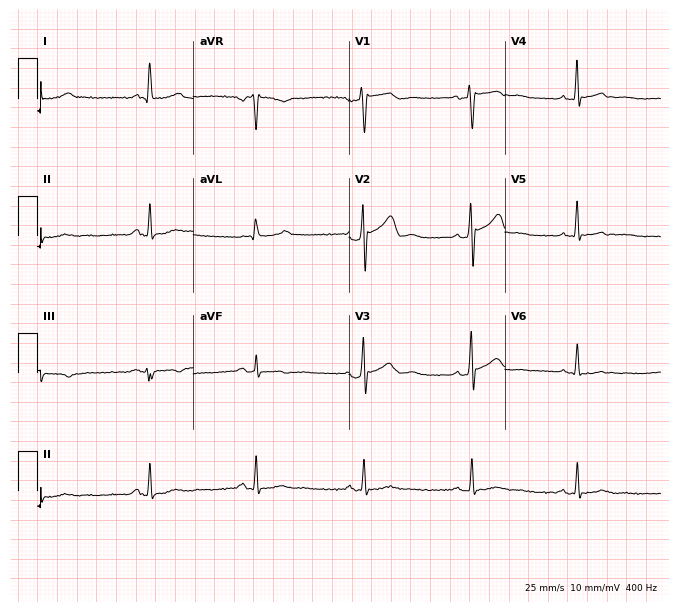
12-lead ECG (6.4-second recording at 400 Hz) from a 51-year-old man. Screened for six findings — first-degree AV block, right bundle branch block, left bundle branch block, sinus bradycardia, atrial fibrillation, sinus tachycardia — none is recorded. Other findings, if any, are not listed.